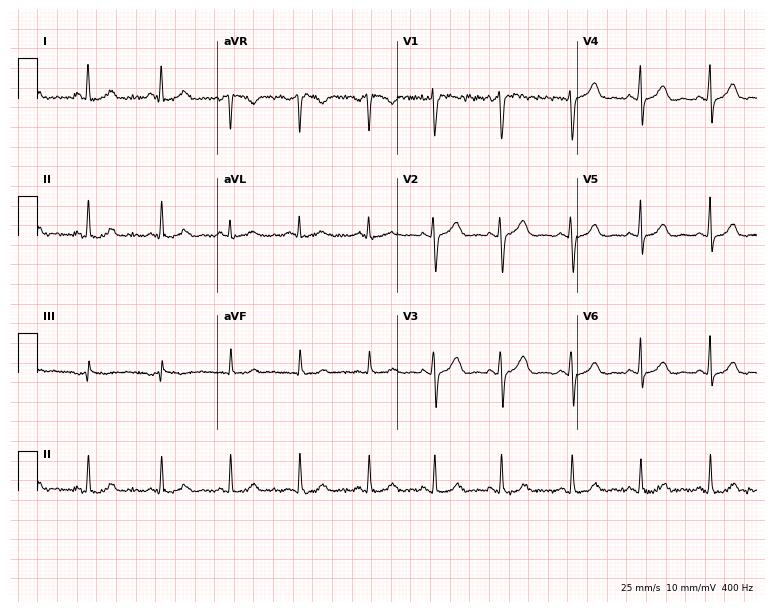
Electrocardiogram (7.3-second recording at 400 Hz), a female patient, 32 years old. Of the six screened findings (first-degree AV block, right bundle branch block (RBBB), left bundle branch block (LBBB), sinus bradycardia, atrial fibrillation (AF), sinus tachycardia), none is recorded.